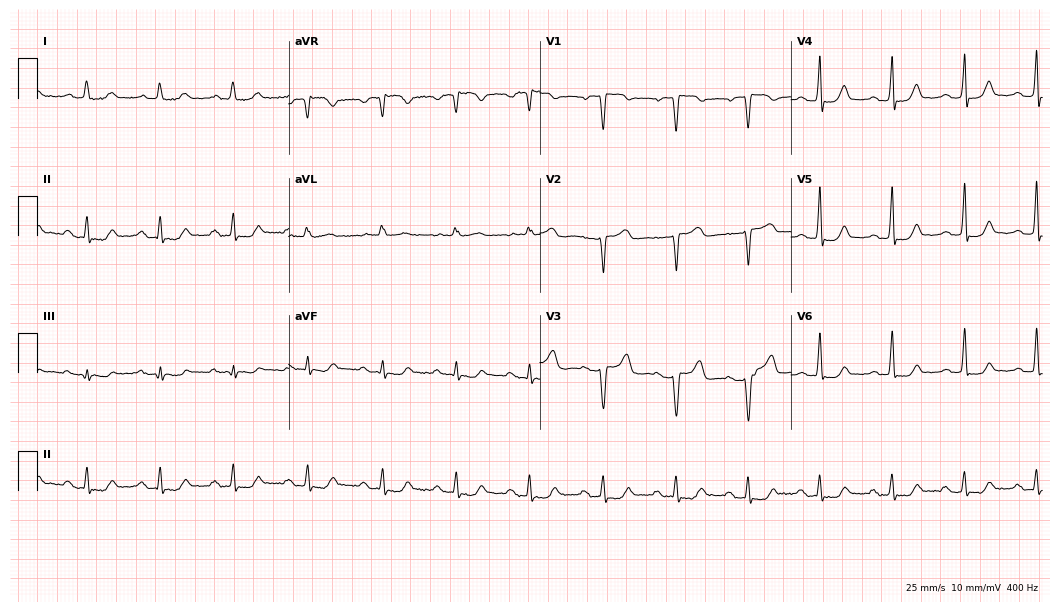
Electrocardiogram (10.2-second recording at 400 Hz), a 66-year-old female. Overall reading on record: normal ECG.